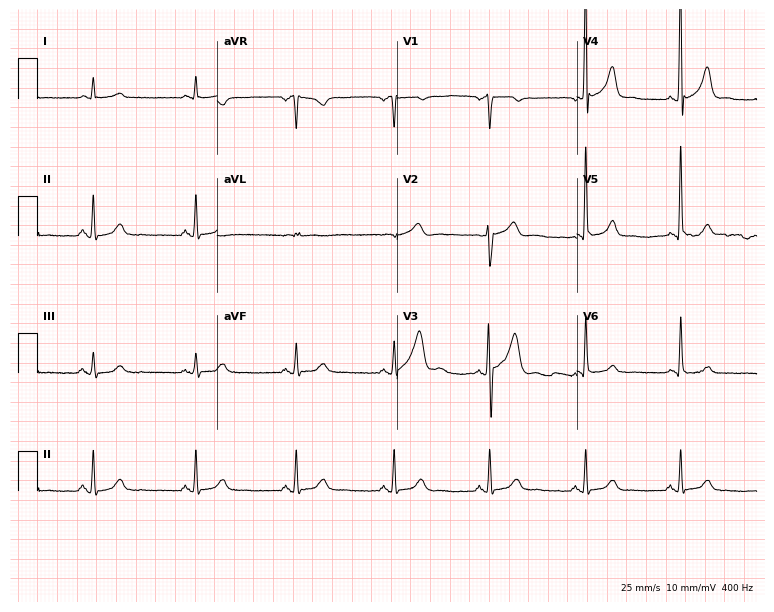
12-lead ECG from a 53-year-old male patient. Screened for six findings — first-degree AV block, right bundle branch block, left bundle branch block, sinus bradycardia, atrial fibrillation, sinus tachycardia — none is recorded.